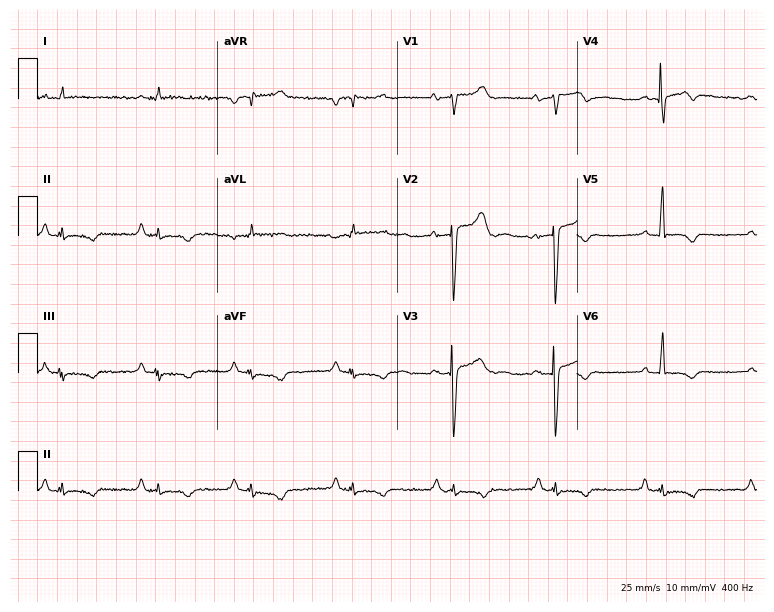
Electrocardiogram, a male, 48 years old. Of the six screened findings (first-degree AV block, right bundle branch block (RBBB), left bundle branch block (LBBB), sinus bradycardia, atrial fibrillation (AF), sinus tachycardia), none is recorded.